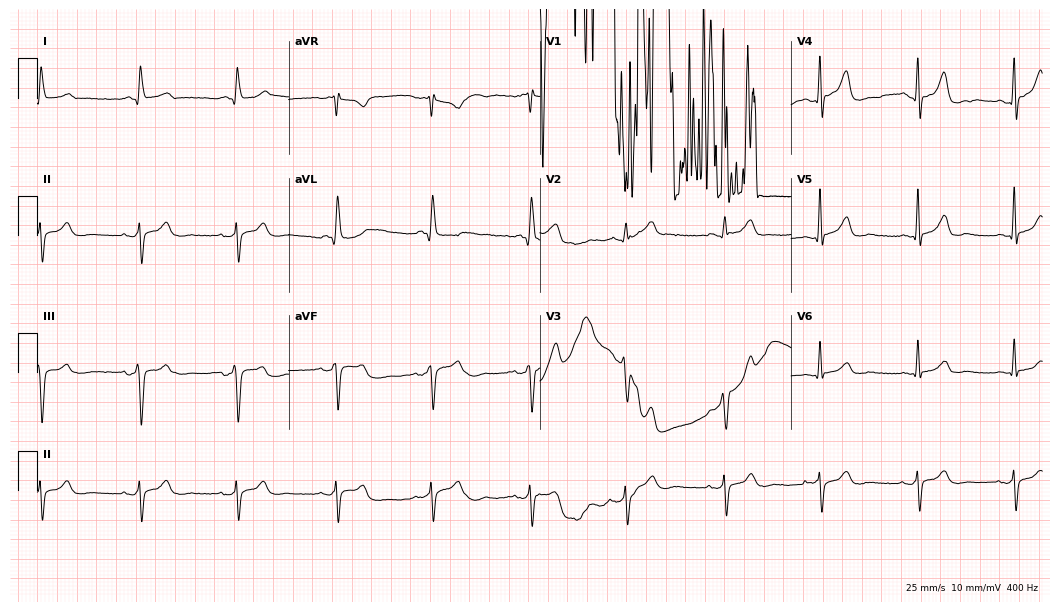
Resting 12-lead electrocardiogram (10.2-second recording at 400 Hz). Patient: a 77-year-old female. None of these six findings is recorded: first-degree AV block, right bundle branch block (RBBB), left bundle branch block (LBBB), sinus bradycardia, atrial fibrillation (AF), sinus tachycardia. Findings outside these six are not listed.